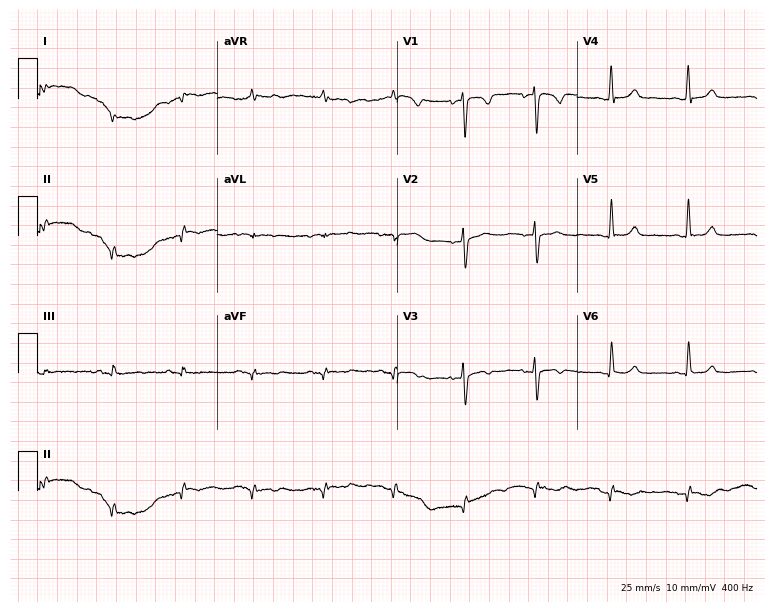
12-lead ECG from a 41-year-old female (7.3-second recording at 400 Hz). Recorded interpretation: within normal limits.